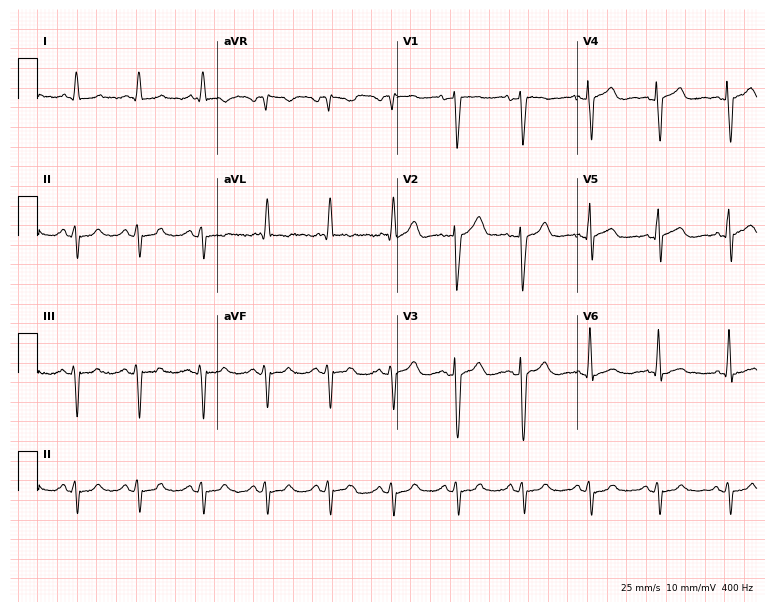
Resting 12-lead electrocardiogram (7.3-second recording at 400 Hz). Patient: a 55-year-old male. None of these six findings is recorded: first-degree AV block, right bundle branch block, left bundle branch block, sinus bradycardia, atrial fibrillation, sinus tachycardia.